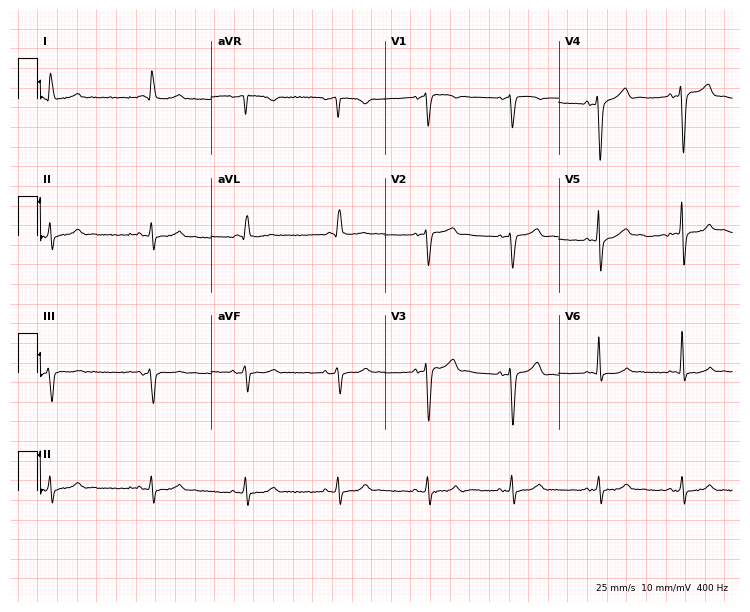
Resting 12-lead electrocardiogram (7.1-second recording at 400 Hz). Patient: a 72-year-old woman. Read as a normal ECG.